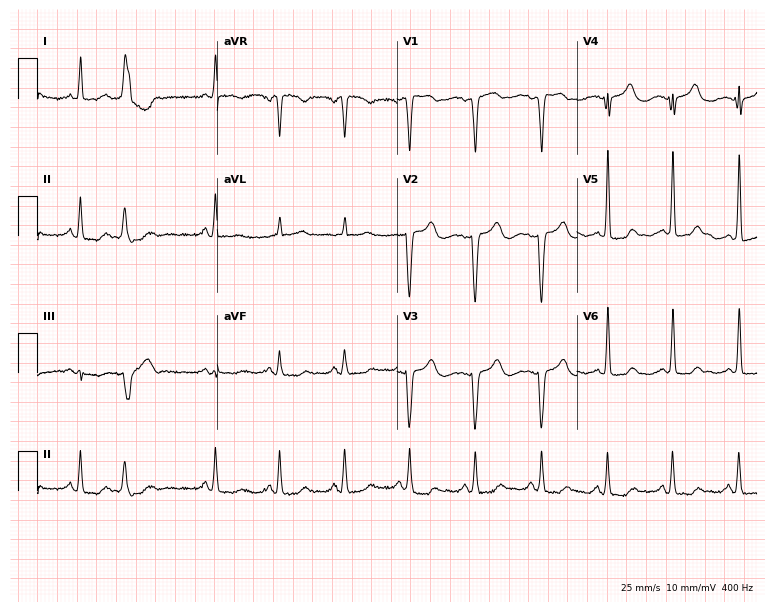
12-lead ECG from an 85-year-old male patient. Screened for six findings — first-degree AV block, right bundle branch block, left bundle branch block, sinus bradycardia, atrial fibrillation, sinus tachycardia — none is recorded. Only these six findings were labelled.